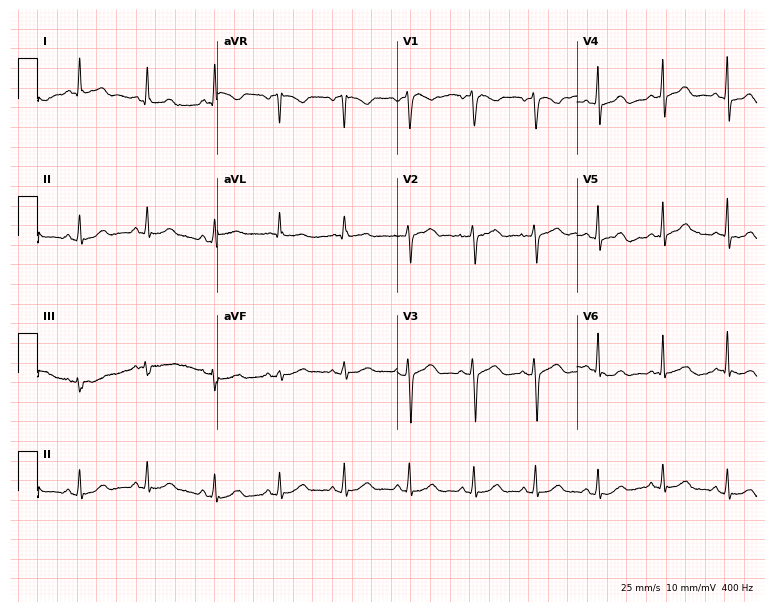
ECG (7.3-second recording at 400 Hz) — a female patient, 44 years old. Labelled as a normal ECG.